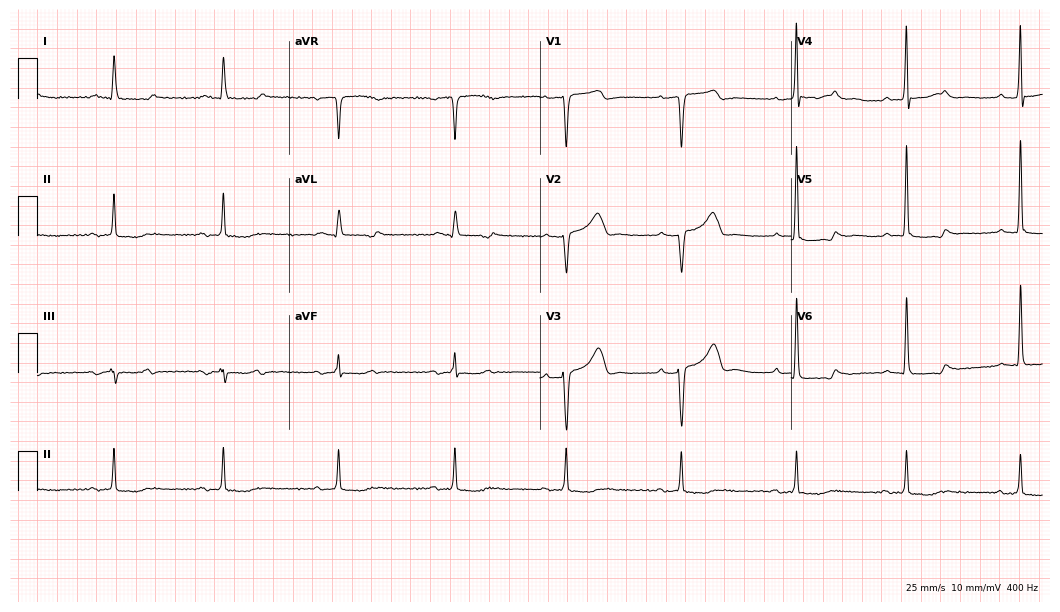
ECG — a 63-year-old female patient. Screened for six findings — first-degree AV block, right bundle branch block, left bundle branch block, sinus bradycardia, atrial fibrillation, sinus tachycardia — none is recorded.